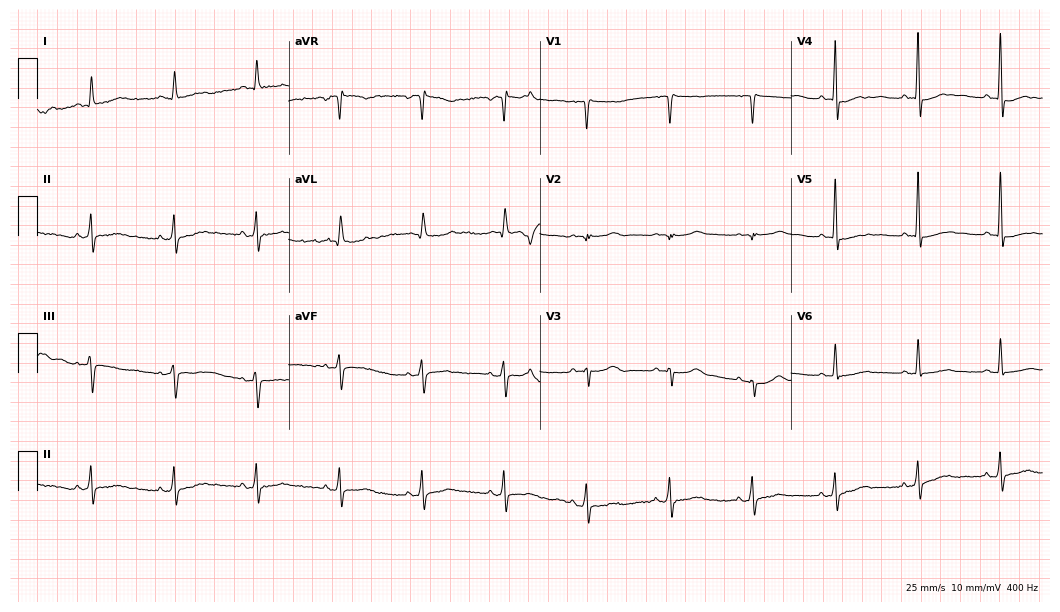
ECG (10.2-second recording at 400 Hz) — an 83-year-old female patient. Screened for six findings — first-degree AV block, right bundle branch block (RBBB), left bundle branch block (LBBB), sinus bradycardia, atrial fibrillation (AF), sinus tachycardia — none is recorded.